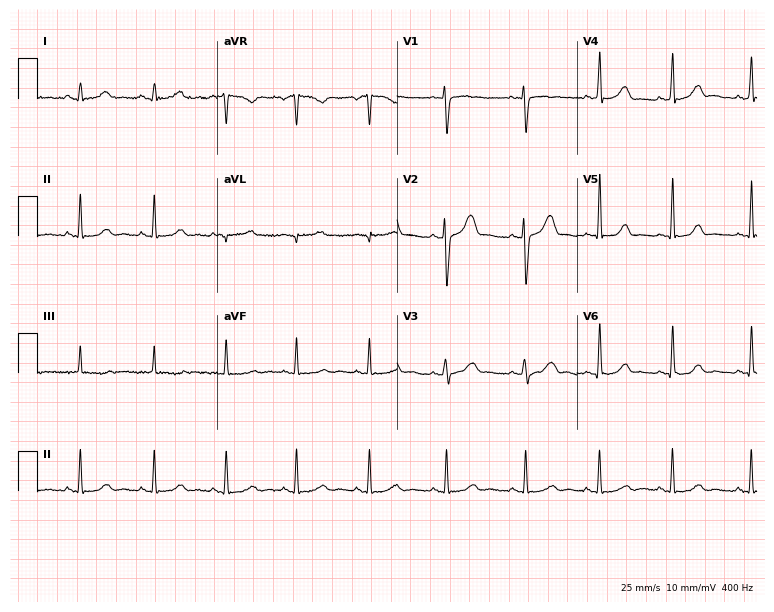
ECG (7.3-second recording at 400 Hz) — a female, 36 years old. Labelled as a normal ECG.